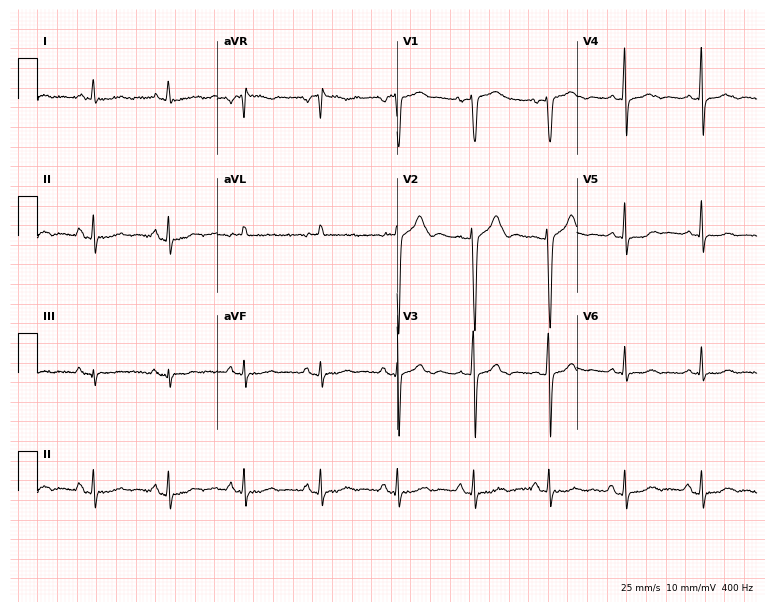
12-lead ECG from a 52-year-old female patient. No first-degree AV block, right bundle branch block (RBBB), left bundle branch block (LBBB), sinus bradycardia, atrial fibrillation (AF) or sinus tachycardia recorded for this tracing.